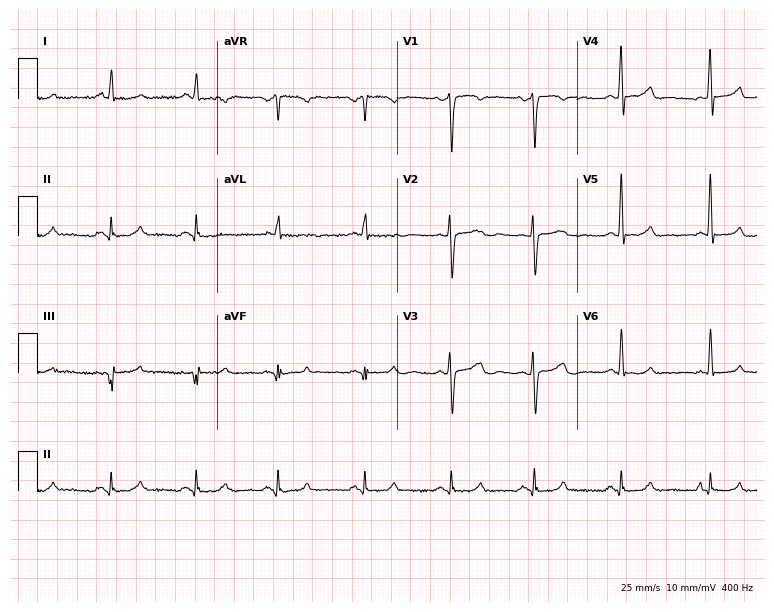
Electrocardiogram (7.3-second recording at 400 Hz), a 45-year-old female. Of the six screened findings (first-degree AV block, right bundle branch block, left bundle branch block, sinus bradycardia, atrial fibrillation, sinus tachycardia), none is recorded. Findings outside these six are not listed.